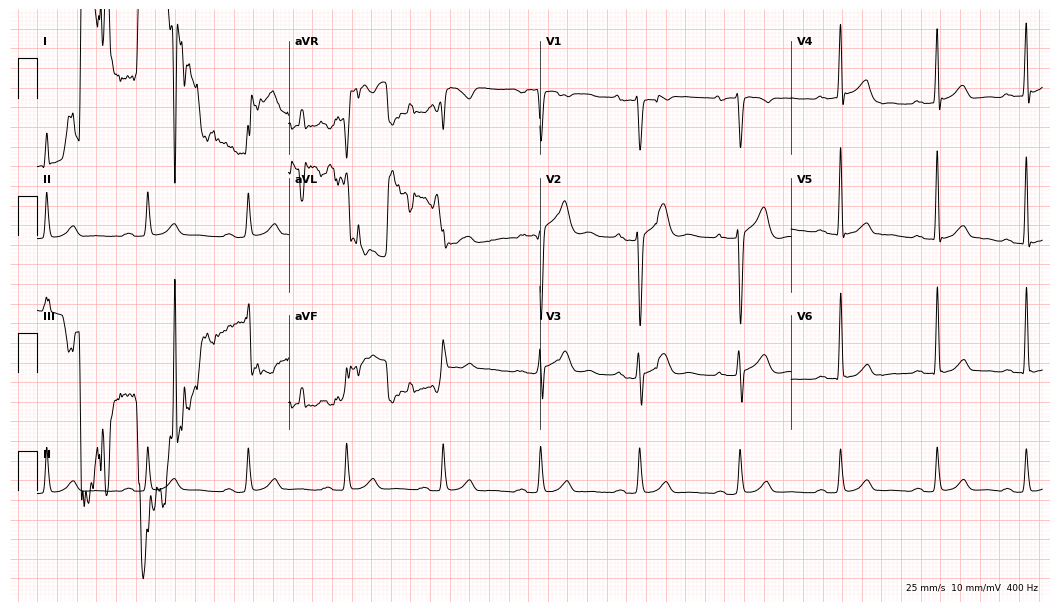
12-lead ECG from a 50-year-old male patient (10.2-second recording at 400 Hz). No first-degree AV block, right bundle branch block, left bundle branch block, sinus bradycardia, atrial fibrillation or sinus tachycardia recorded for this tracing. Other findings, if any, are not listed.